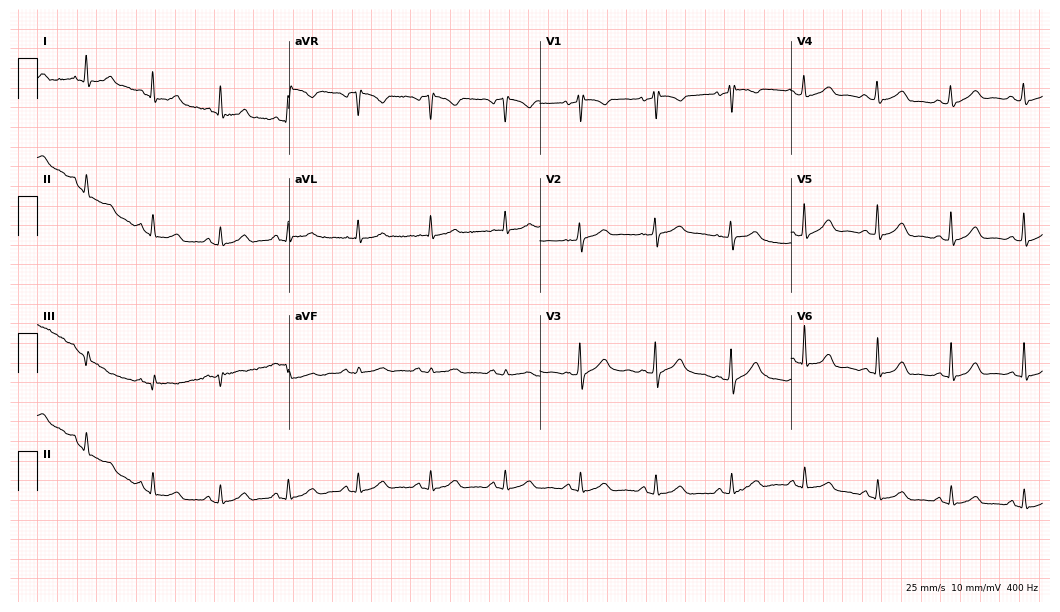
12-lead ECG (10.2-second recording at 400 Hz) from a woman, 60 years old. Labelled as a normal ECG.